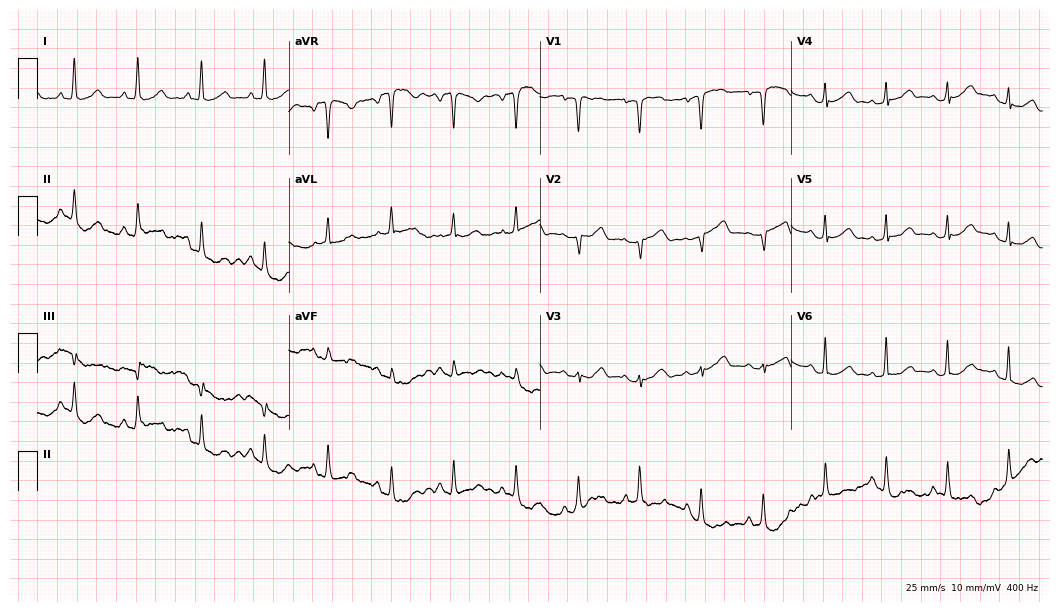
Standard 12-lead ECG recorded from a female, 51 years old. None of these six findings is recorded: first-degree AV block, right bundle branch block, left bundle branch block, sinus bradycardia, atrial fibrillation, sinus tachycardia. Other findings, if any, are not listed.